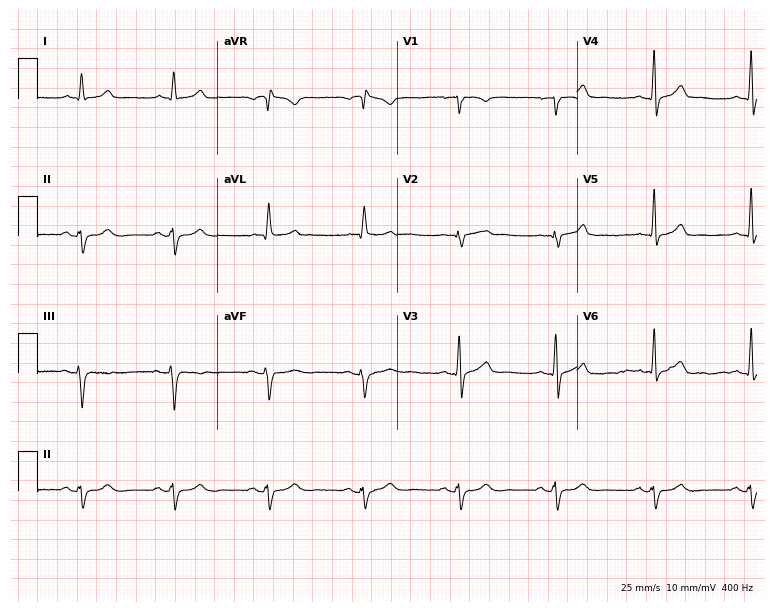
12-lead ECG from a male, 61 years old. Screened for six findings — first-degree AV block, right bundle branch block, left bundle branch block, sinus bradycardia, atrial fibrillation, sinus tachycardia — none is recorded. Other findings, if any, are not listed.